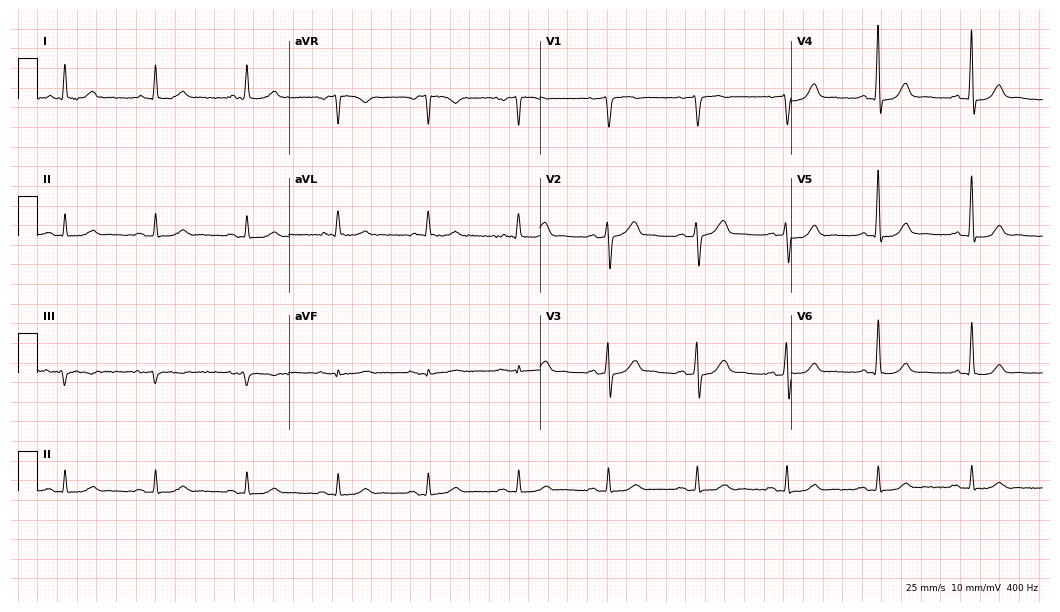
12-lead ECG from a 73-year-old male. Screened for six findings — first-degree AV block, right bundle branch block, left bundle branch block, sinus bradycardia, atrial fibrillation, sinus tachycardia — none is recorded.